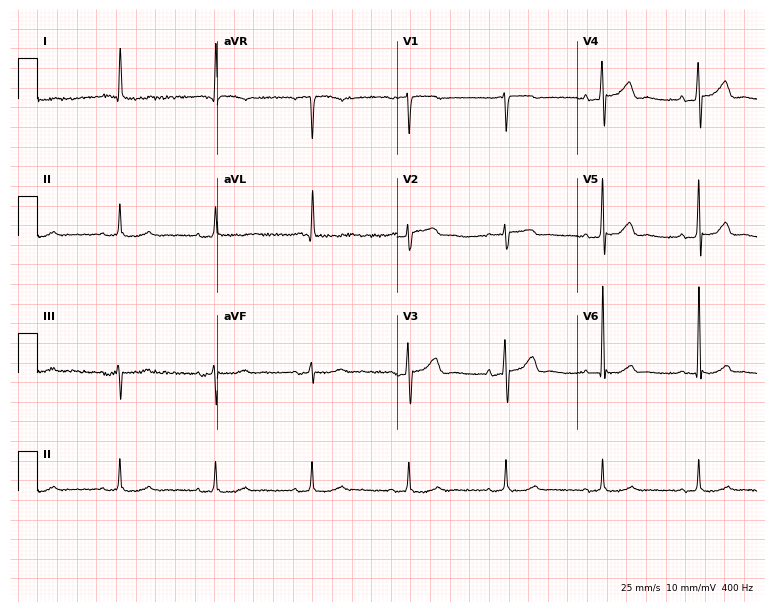
ECG (7.3-second recording at 400 Hz) — a male patient, 70 years old. Labelled as a normal ECG.